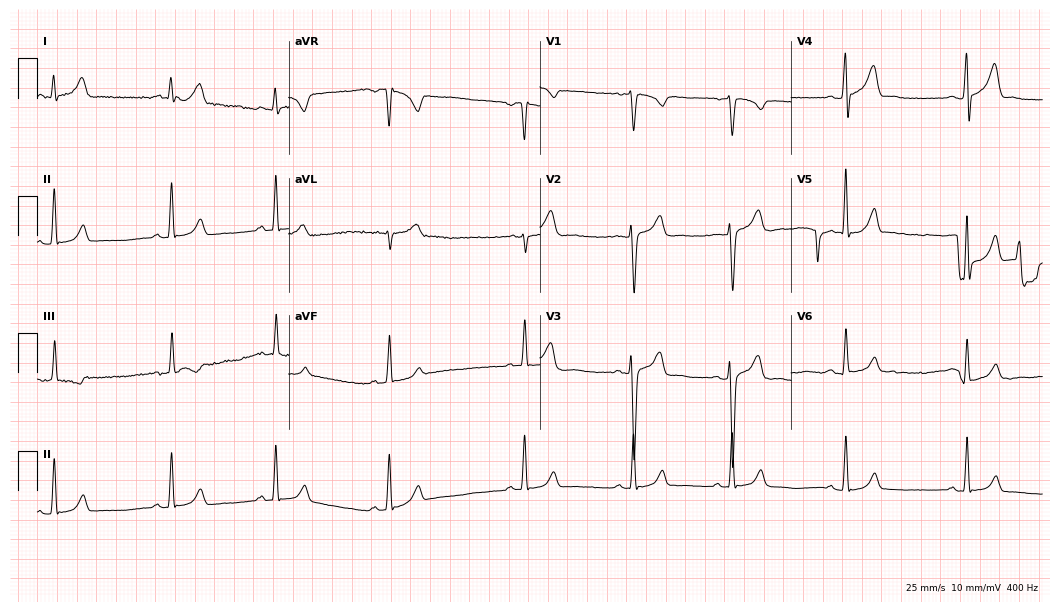
Electrocardiogram, a male, 18 years old. Overall reading on record: normal ECG.